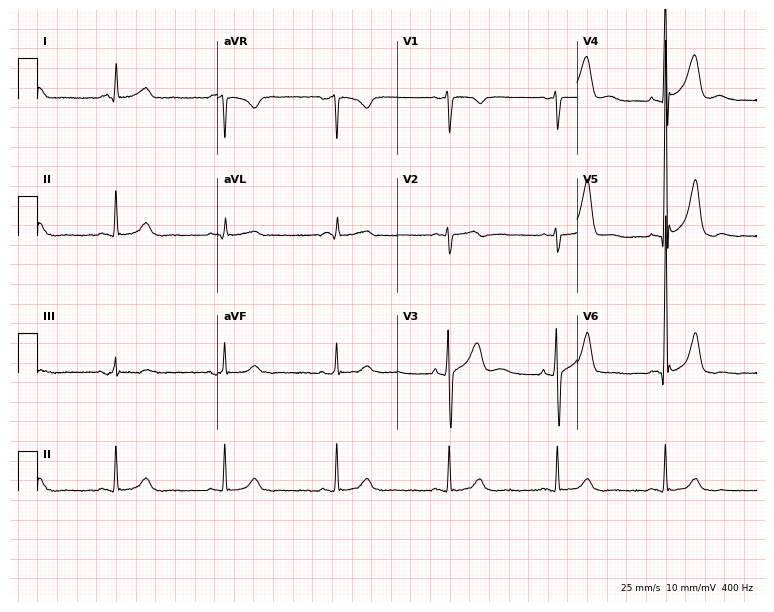
Resting 12-lead electrocardiogram (7.3-second recording at 400 Hz). Patient: a male, 51 years old. None of these six findings is recorded: first-degree AV block, right bundle branch block, left bundle branch block, sinus bradycardia, atrial fibrillation, sinus tachycardia.